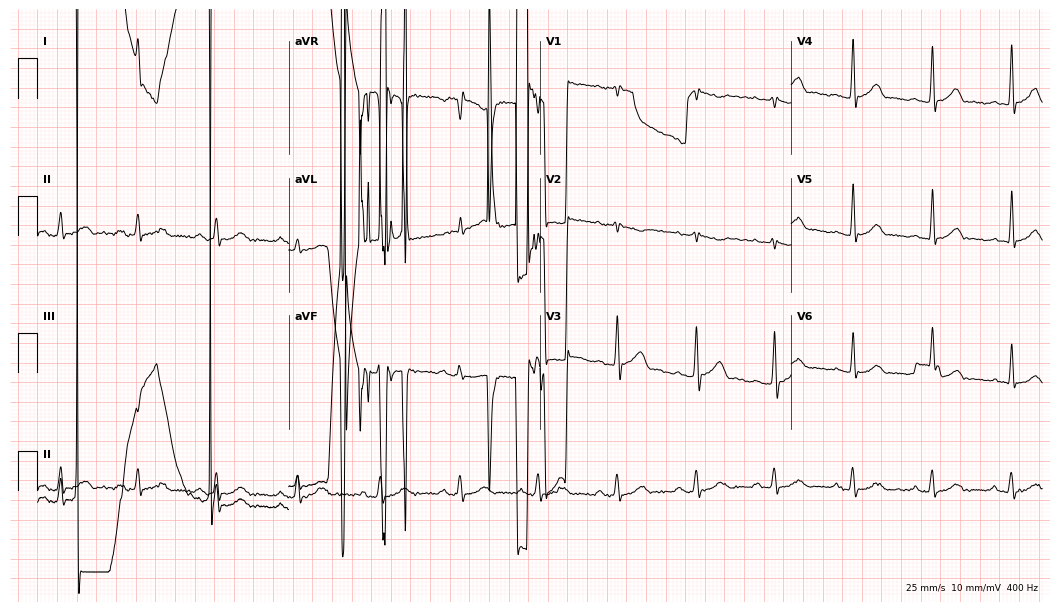
Resting 12-lead electrocardiogram. Patient: a 31-year-old male. None of these six findings is recorded: first-degree AV block, right bundle branch block, left bundle branch block, sinus bradycardia, atrial fibrillation, sinus tachycardia. Findings outside these six are not listed.